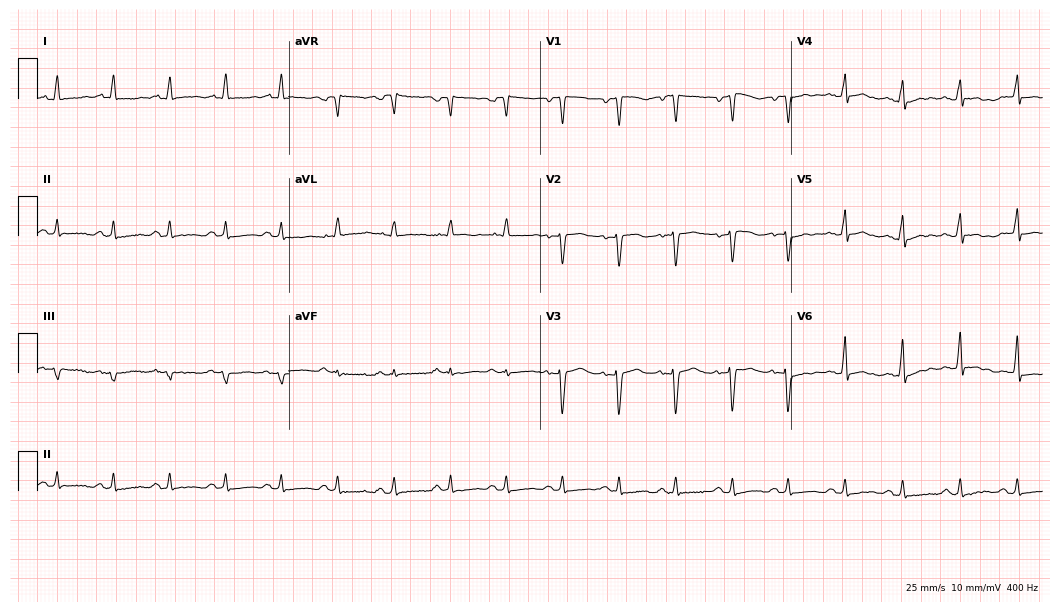
Electrocardiogram, a 42-year-old female patient. Interpretation includes sinus tachycardia (a sinus rate of 100 beats per minute or more).